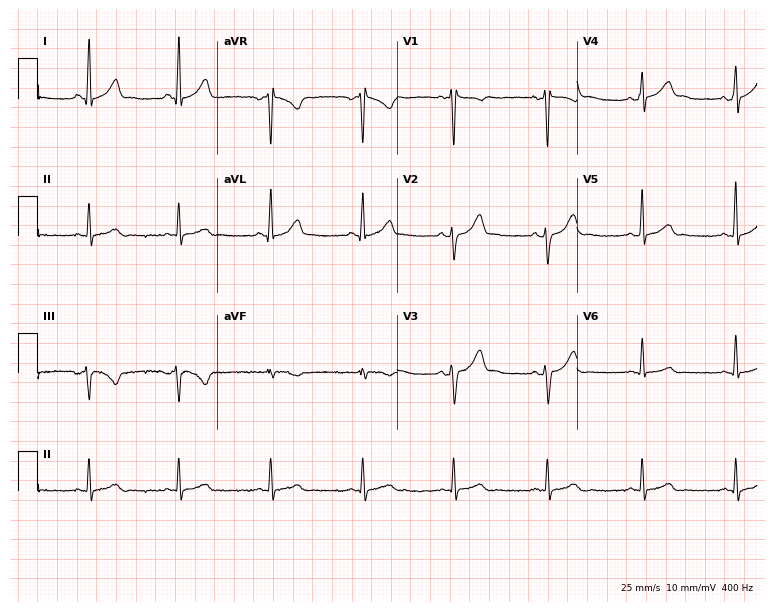
Electrocardiogram (7.3-second recording at 400 Hz), a male, 42 years old. Overall reading on record: normal ECG.